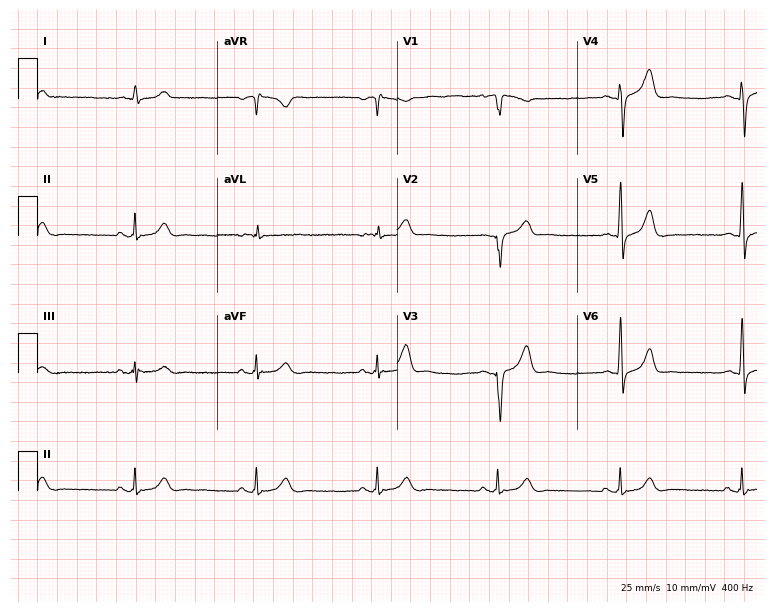
12-lead ECG from a male patient, 67 years old (7.3-second recording at 400 Hz). No first-degree AV block, right bundle branch block (RBBB), left bundle branch block (LBBB), sinus bradycardia, atrial fibrillation (AF) or sinus tachycardia recorded for this tracing.